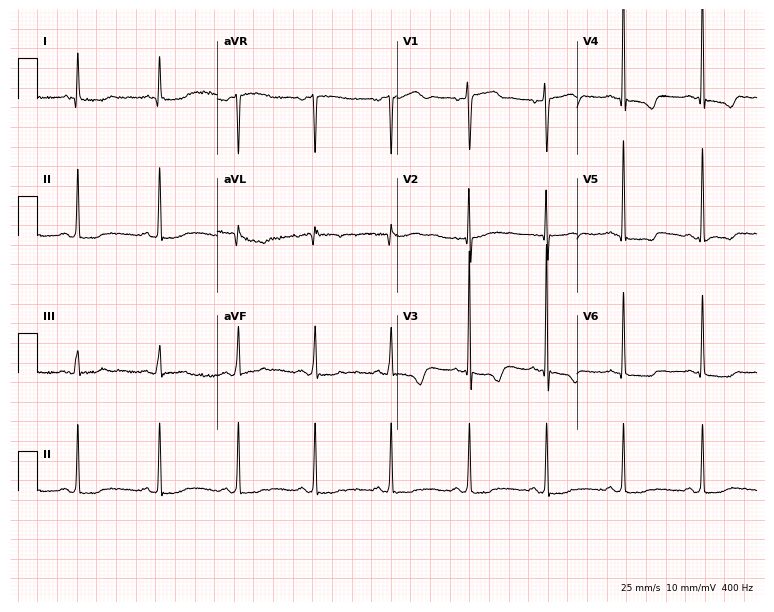
Resting 12-lead electrocardiogram (7.3-second recording at 400 Hz). Patient: a 52-year-old female. None of these six findings is recorded: first-degree AV block, right bundle branch block, left bundle branch block, sinus bradycardia, atrial fibrillation, sinus tachycardia. Only these six findings were labelled.